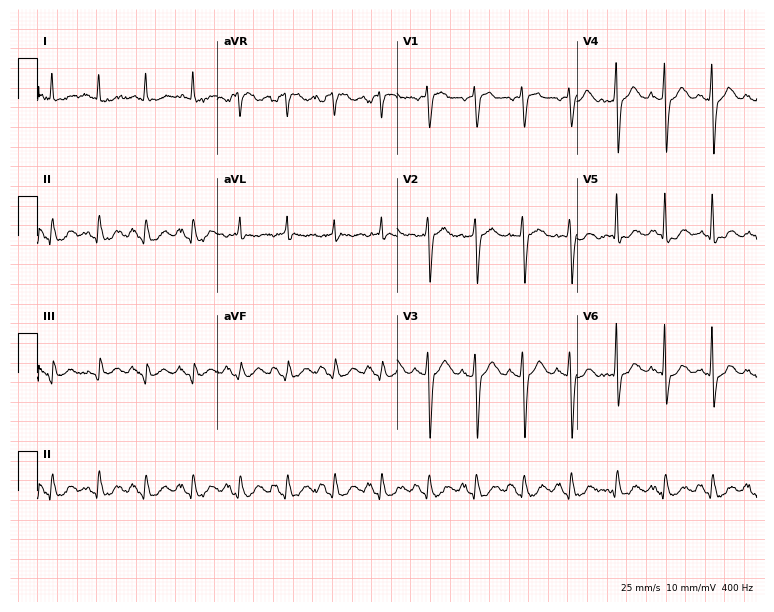
12-lead ECG (7.3-second recording at 400 Hz) from a male patient, 79 years old. Findings include sinus tachycardia (a sinus rate of 100 beats per minute or more).